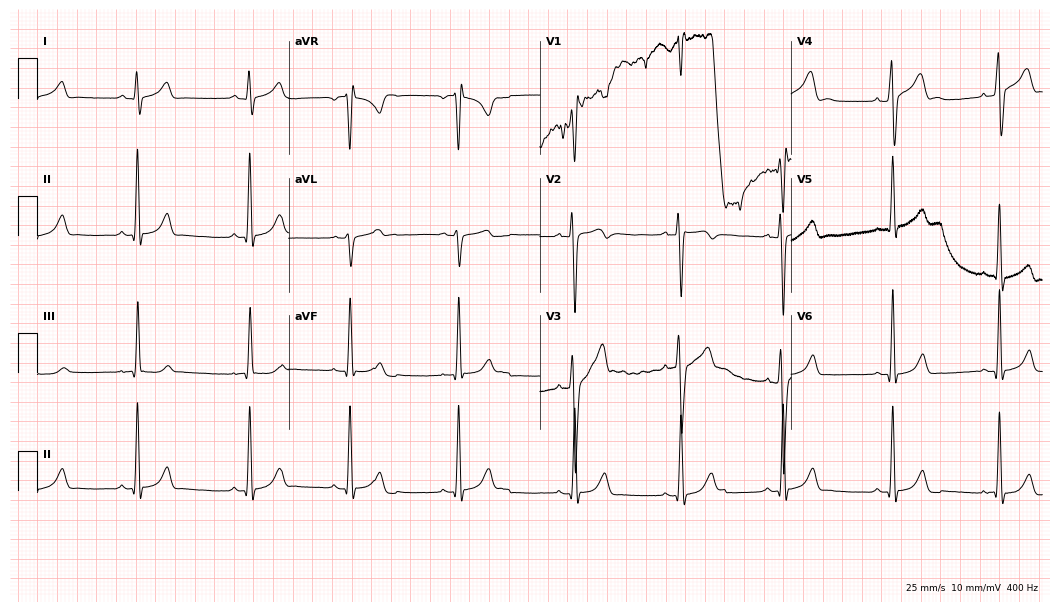
Resting 12-lead electrocardiogram. Patient: a male, 20 years old. None of these six findings is recorded: first-degree AV block, right bundle branch block (RBBB), left bundle branch block (LBBB), sinus bradycardia, atrial fibrillation (AF), sinus tachycardia.